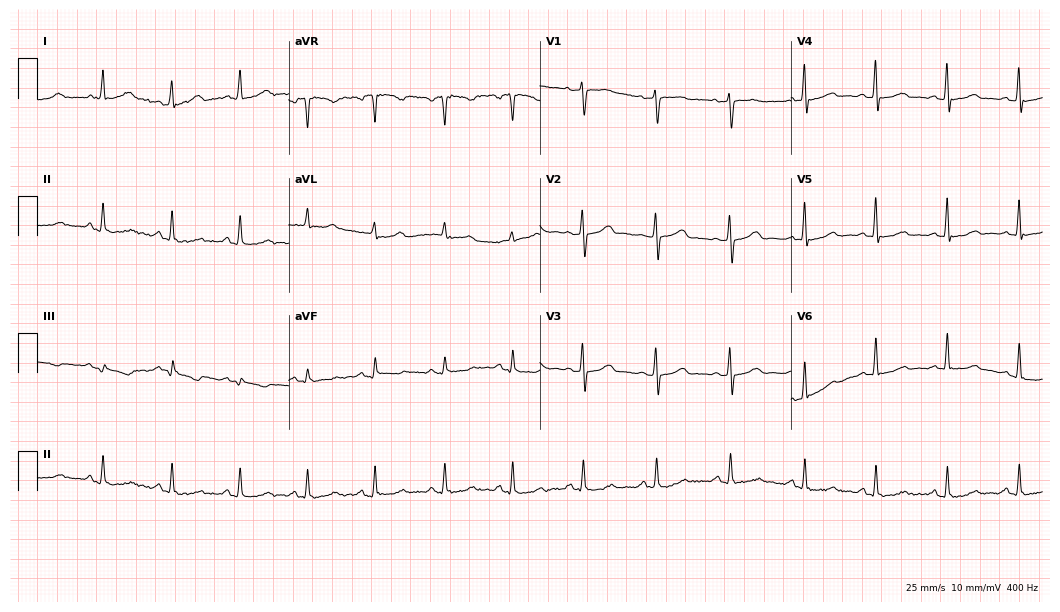
Resting 12-lead electrocardiogram (10.2-second recording at 400 Hz). Patient: a female, 49 years old. None of these six findings is recorded: first-degree AV block, right bundle branch block, left bundle branch block, sinus bradycardia, atrial fibrillation, sinus tachycardia. Other findings, if any, are not listed.